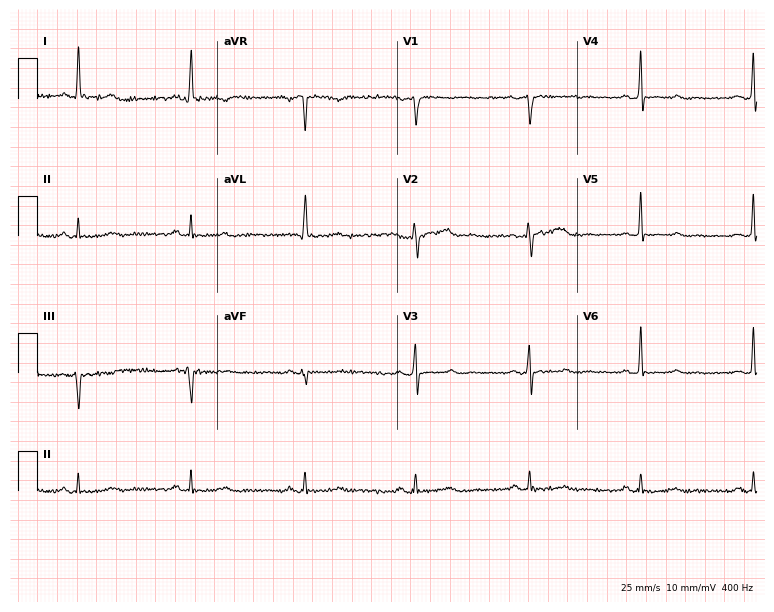
Electrocardiogram (7.3-second recording at 400 Hz), a 59-year-old woman. Of the six screened findings (first-degree AV block, right bundle branch block, left bundle branch block, sinus bradycardia, atrial fibrillation, sinus tachycardia), none is recorded. Other findings, if any, are not listed.